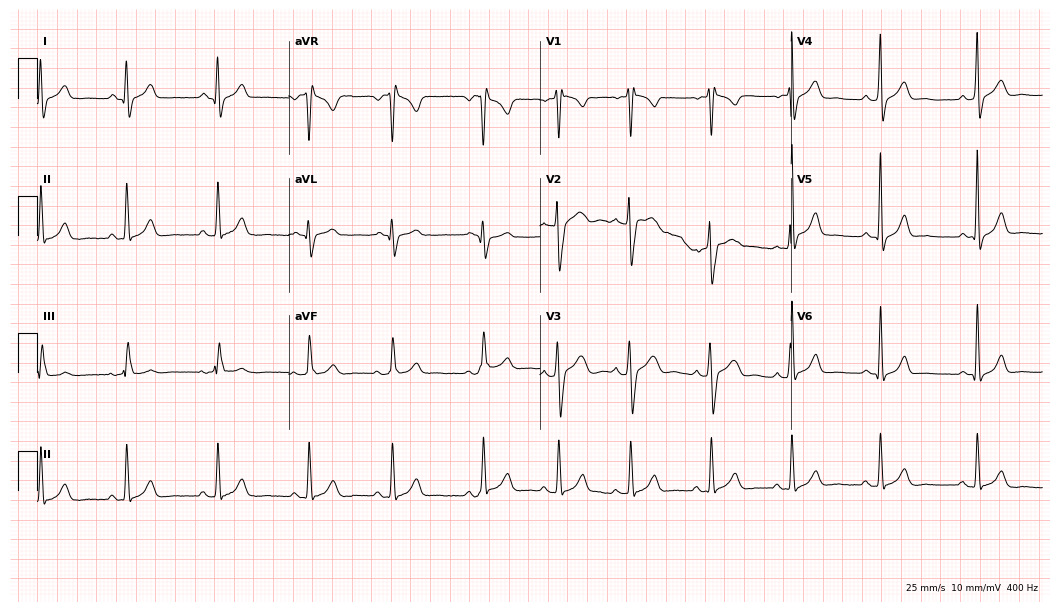
12-lead ECG from a male patient, 25 years old (10.2-second recording at 400 Hz). No first-degree AV block, right bundle branch block, left bundle branch block, sinus bradycardia, atrial fibrillation or sinus tachycardia recorded for this tracing. Only these six findings were labelled.